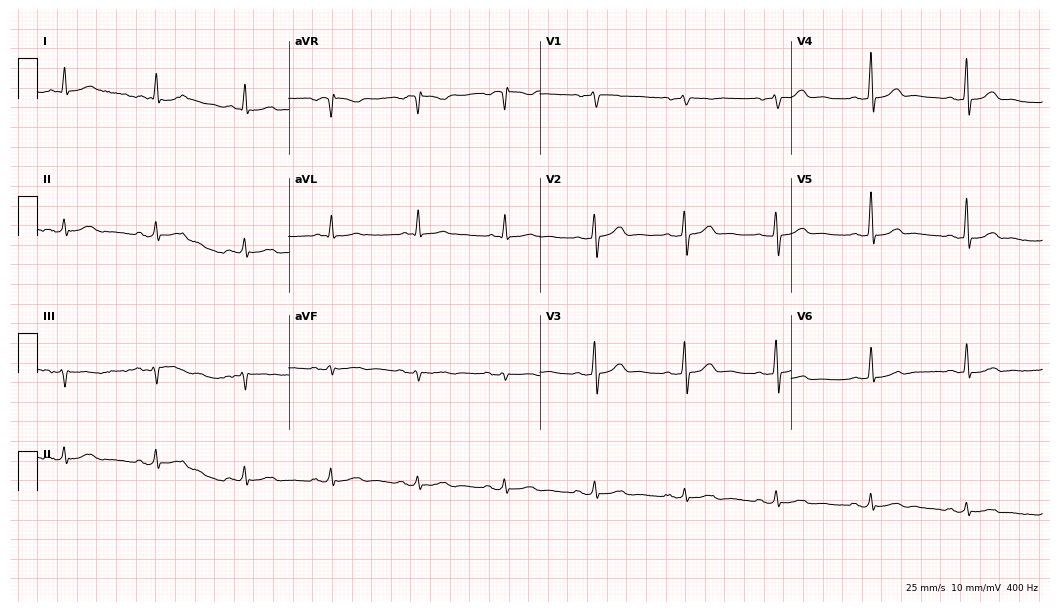
12-lead ECG from a 69-year-old male patient. No first-degree AV block, right bundle branch block, left bundle branch block, sinus bradycardia, atrial fibrillation or sinus tachycardia recorded for this tracing.